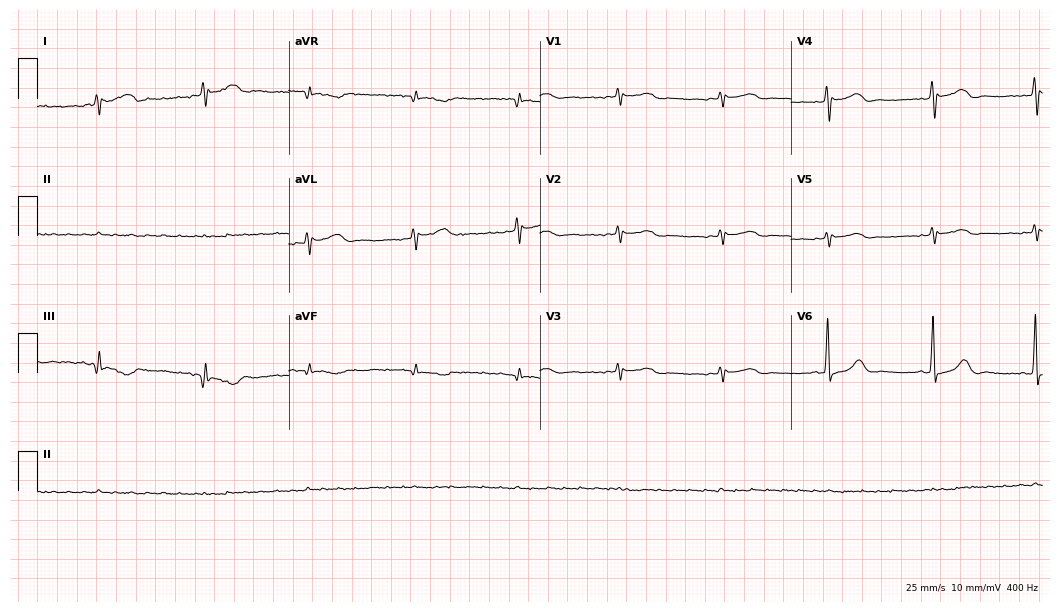
Resting 12-lead electrocardiogram (10.2-second recording at 400 Hz). Patient: a female, 62 years old. None of these six findings is recorded: first-degree AV block, right bundle branch block, left bundle branch block, sinus bradycardia, atrial fibrillation, sinus tachycardia.